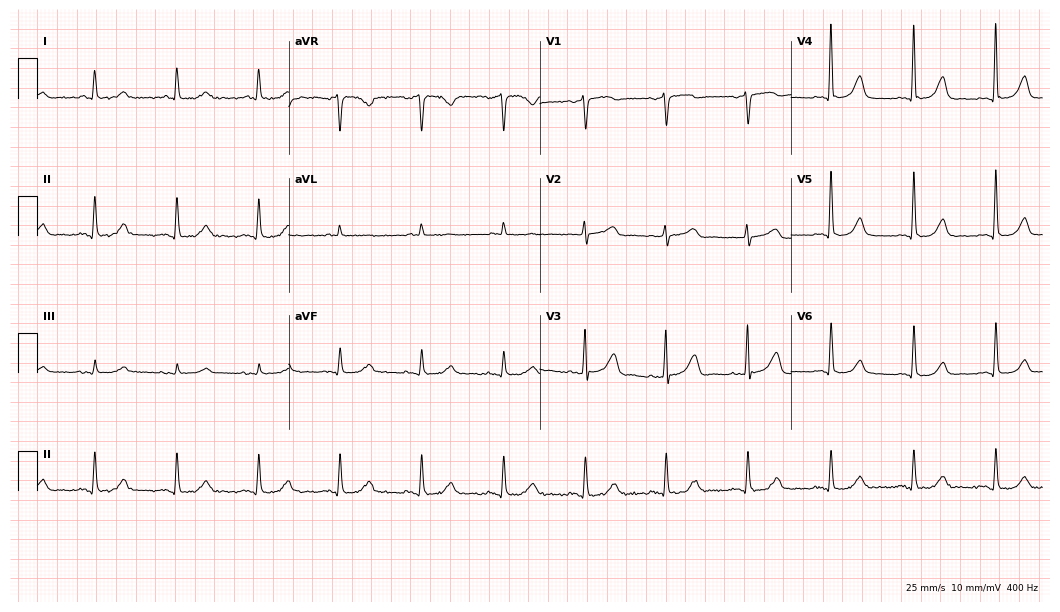
12-lead ECG (10.2-second recording at 400 Hz) from a female patient, 73 years old. Labelled as a normal ECG.